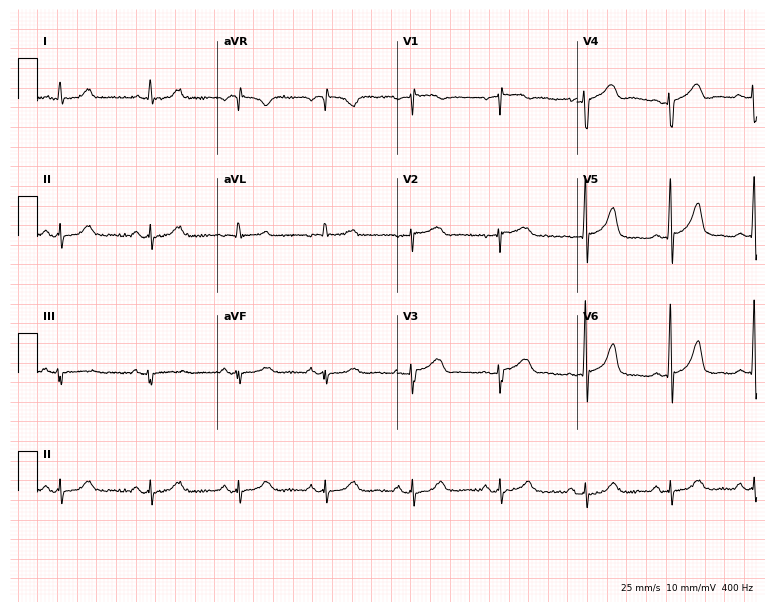
Resting 12-lead electrocardiogram. Patient: a 71-year-old female. None of these six findings is recorded: first-degree AV block, right bundle branch block (RBBB), left bundle branch block (LBBB), sinus bradycardia, atrial fibrillation (AF), sinus tachycardia. Only these six findings were labelled.